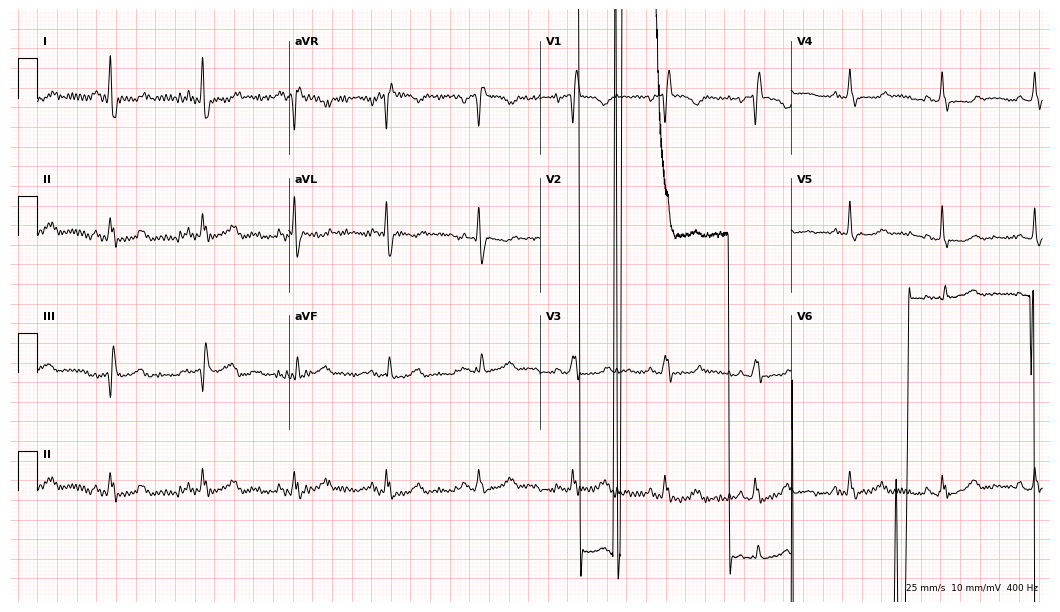
ECG (10.2-second recording at 400 Hz) — a 26-year-old woman. Screened for six findings — first-degree AV block, right bundle branch block, left bundle branch block, sinus bradycardia, atrial fibrillation, sinus tachycardia — none is recorded. Only these six findings were labelled.